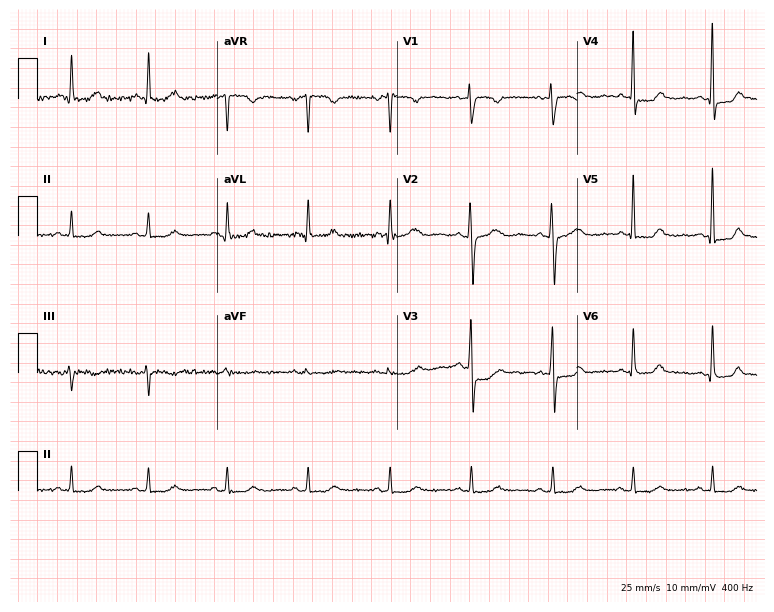
Standard 12-lead ECG recorded from a female patient, 71 years old (7.3-second recording at 400 Hz). None of these six findings is recorded: first-degree AV block, right bundle branch block, left bundle branch block, sinus bradycardia, atrial fibrillation, sinus tachycardia. Only these six findings were labelled.